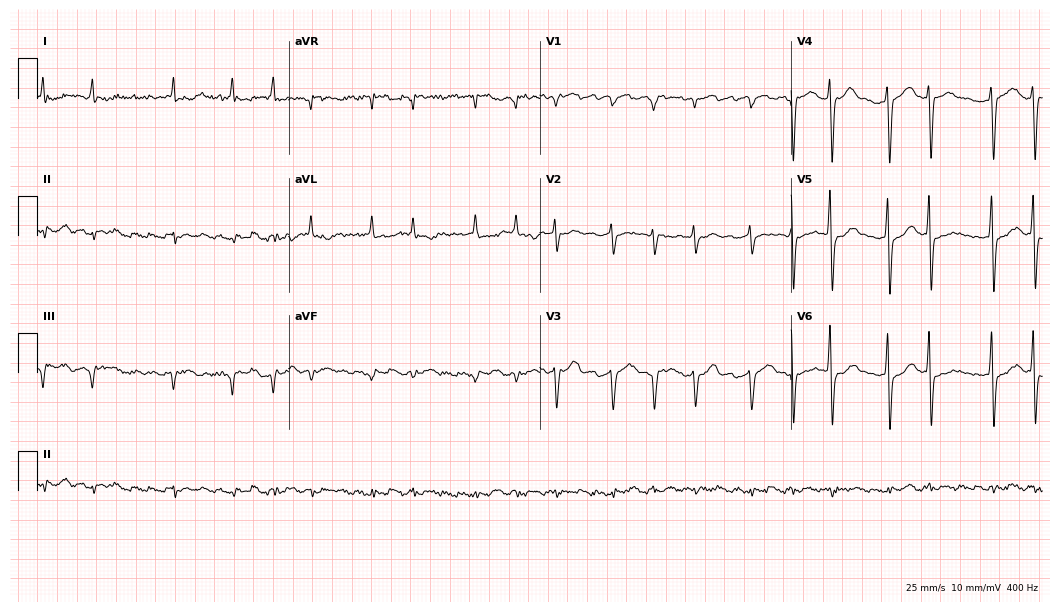
12-lead ECG from a 76-year-old man (10.2-second recording at 400 Hz). Shows atrial fibrillation.